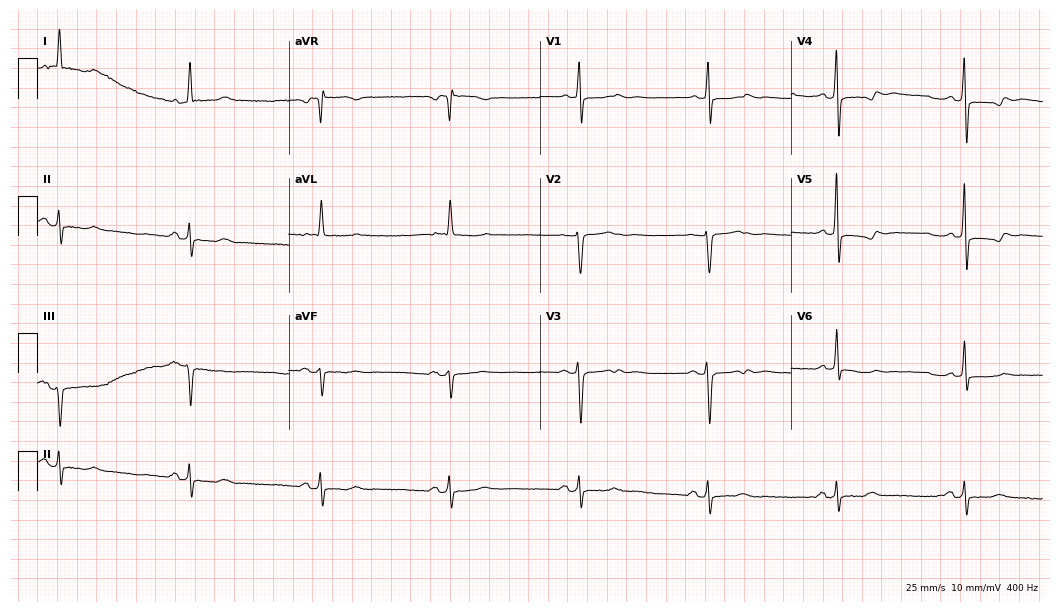
ECG — a 69-year-old female. Findings include sinus bradycardia (a sinus rate of 50 beats per minute or less).